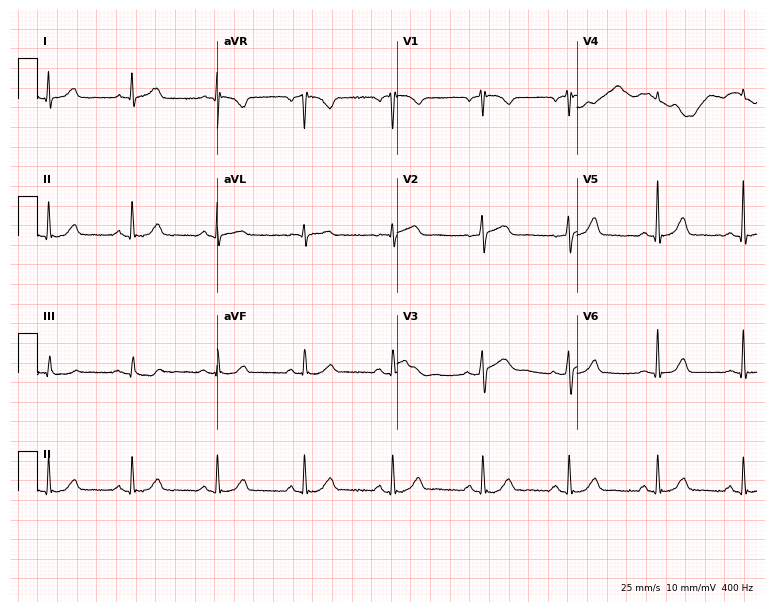
Standard 12-lead ECG recorded from a male, 44 years old. Read as a normal ECG.